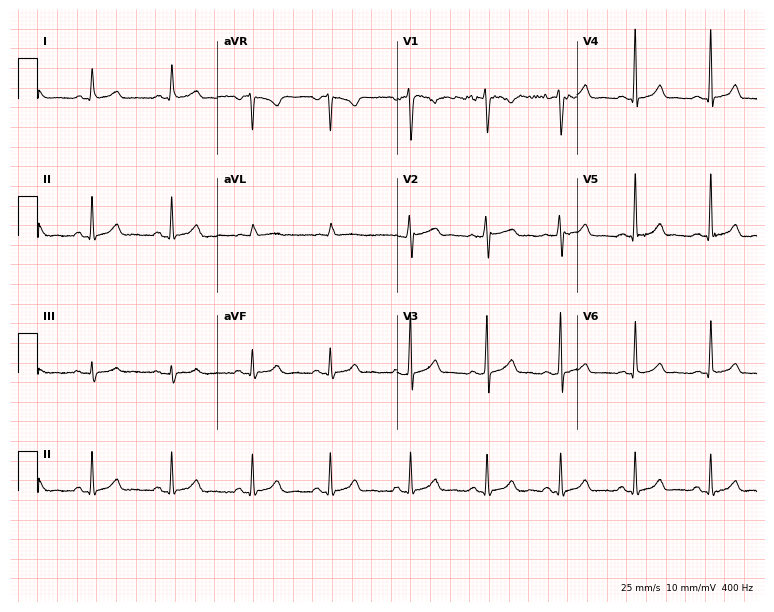
12-lead ECG from a female patient, 29 years old. Screened for six findings — first-degree AV block, right bundle branch block, left bundle branch block, sinus bradycardia, atrial fibrillation, sinus tachycardia — none is recorded. Only these six findings were labelled.